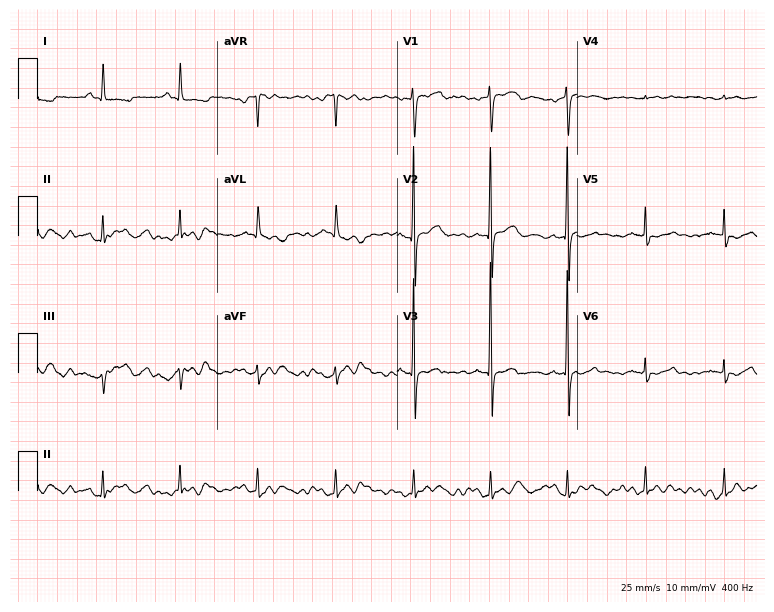
Electrocardiogram (7.3-second recording at 400 Hz), a 74-year-old female. Of the six screened findings (first-degree AV block, right bundle branch block, left bundle branch block, sinus bradycardia, atrial fibrillation, sinus tachycardia), none is recorded. Findings outside these six are not listed.